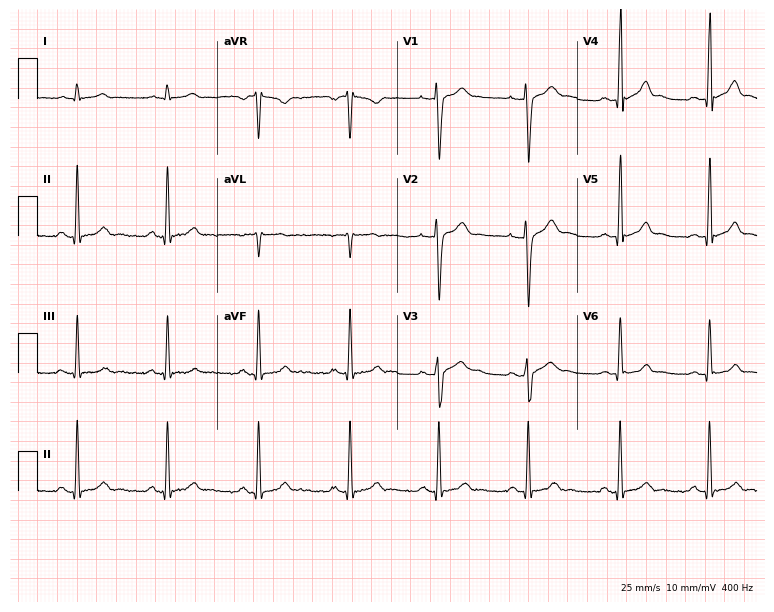
Electrocardiogram, a 34-year-old man. Of the six screened findings (first-degree AV block, right bundle branch block (RBBB), left bundle branch block (LBBB), sinus bradycardia, atrial fibrillation (AF), sinus tachycardia), none is recorded. Other findings, if any, are not listed.